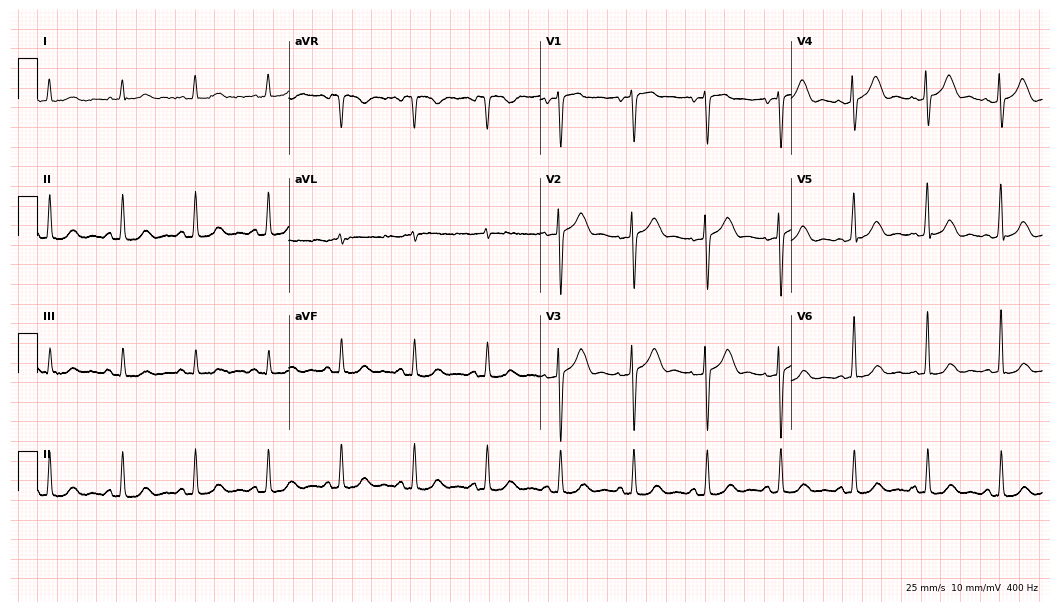
Electrocardiogram, an 83-year-old man. Overall reading on record: normal ECG.